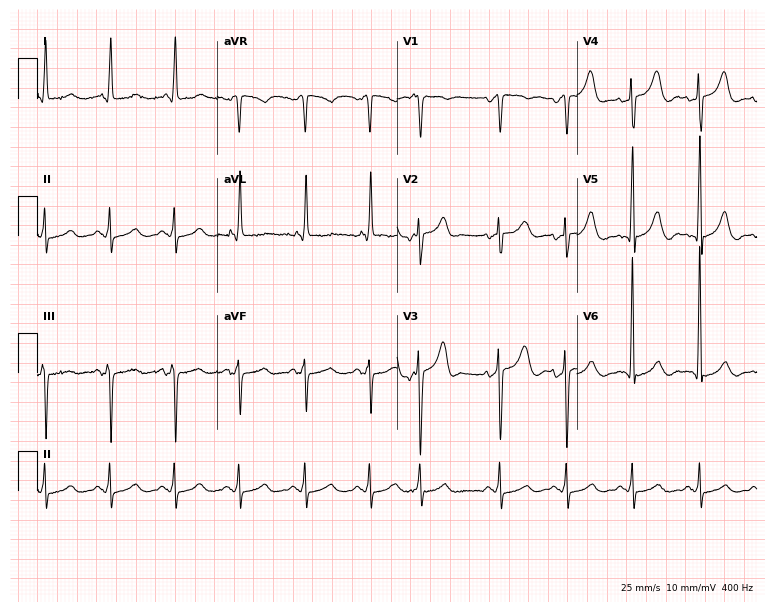
Electrocardiogram (7.3-second recording at 400 Hz), a 69-year-old female. Overall reading on record: normal ECG.